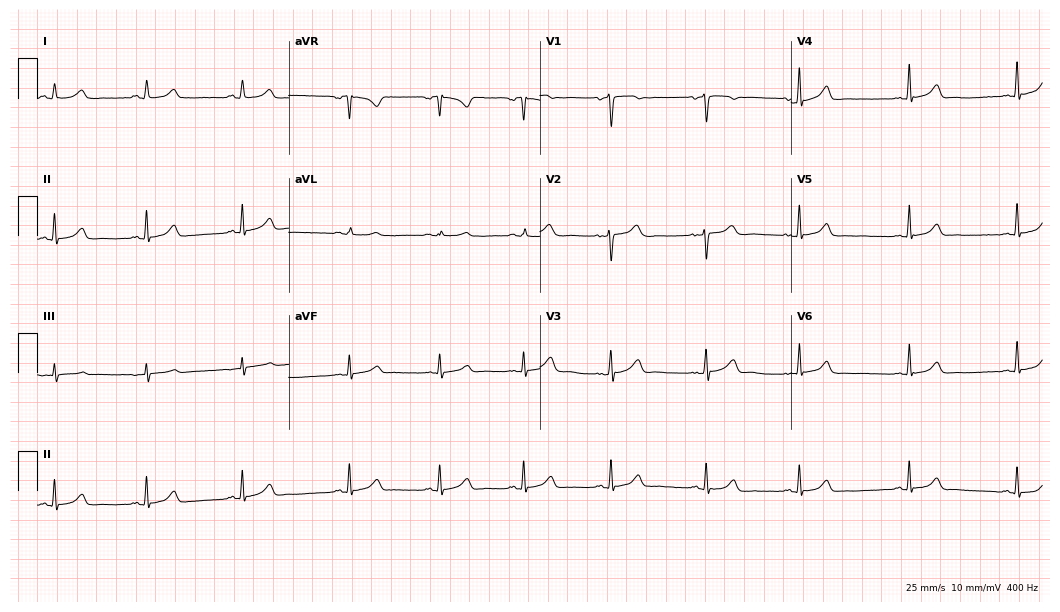
Resting 12-lead electrocardiogram (10.2-second recording at 400 Hz). Patient: a 38-year-old woman. Read as a normal ECG.